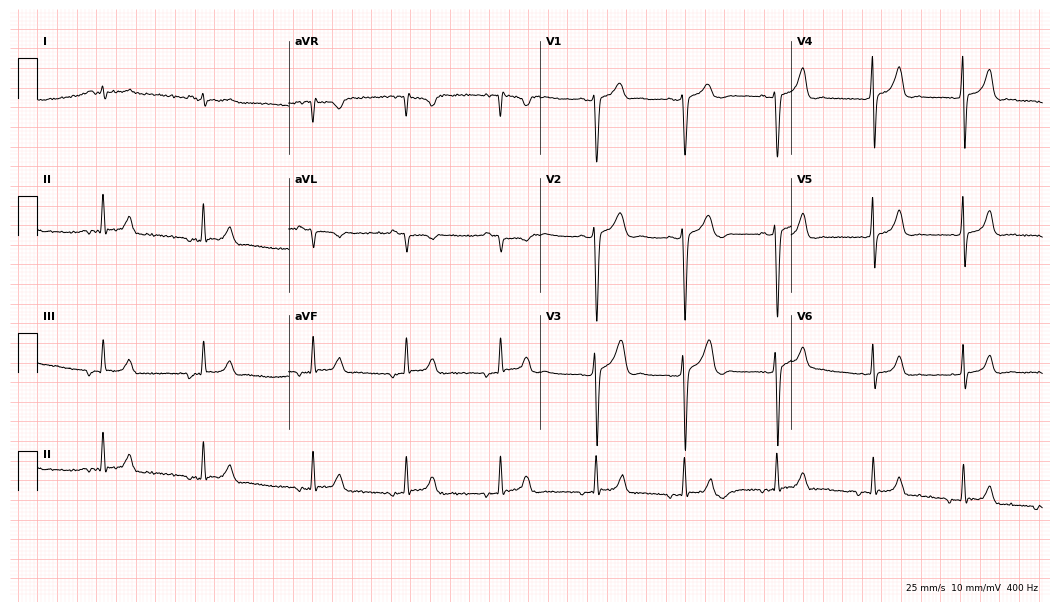
Resting 12-lead electrocardiogram (10.2-second recording at 400 Hz). Patient: a male, 22 years old. Read as a normal ECG.